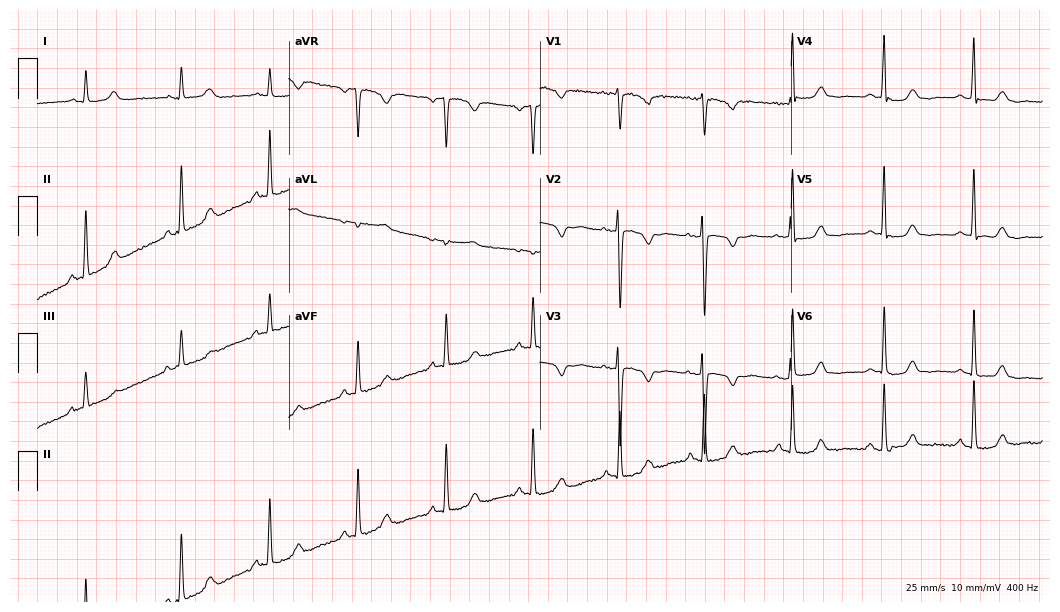
12-lead ECG (10.2-second recording at 400 Hz) from a woman, 36 years old. Screened for six findings — first-degree AV block, right bundle branch block, left bundle branch block, sinus bradycardia, atrial fibrillation, sinus tachycardia — none is recorded. Other findings, if any, are not listed.